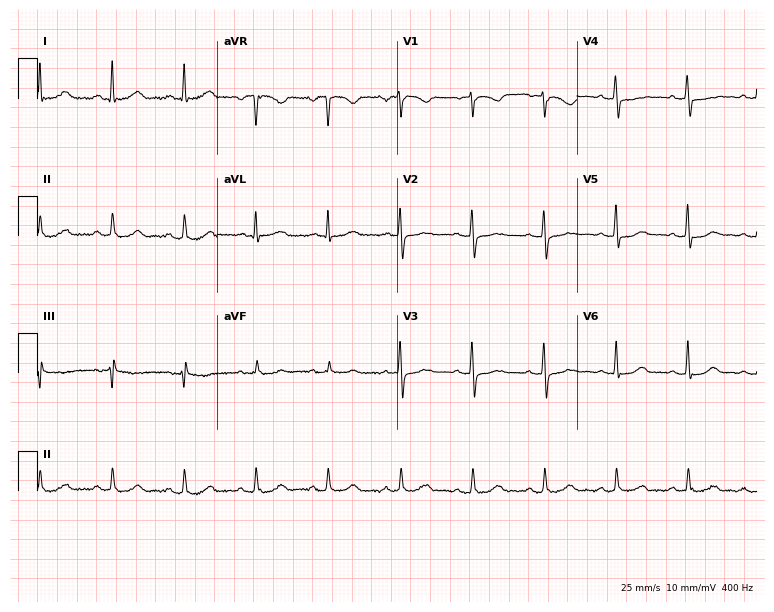
12-lead ECG (7.3-second recording at 400 Hz) from a 52-year-old woman. Labelled as a normal ECG.